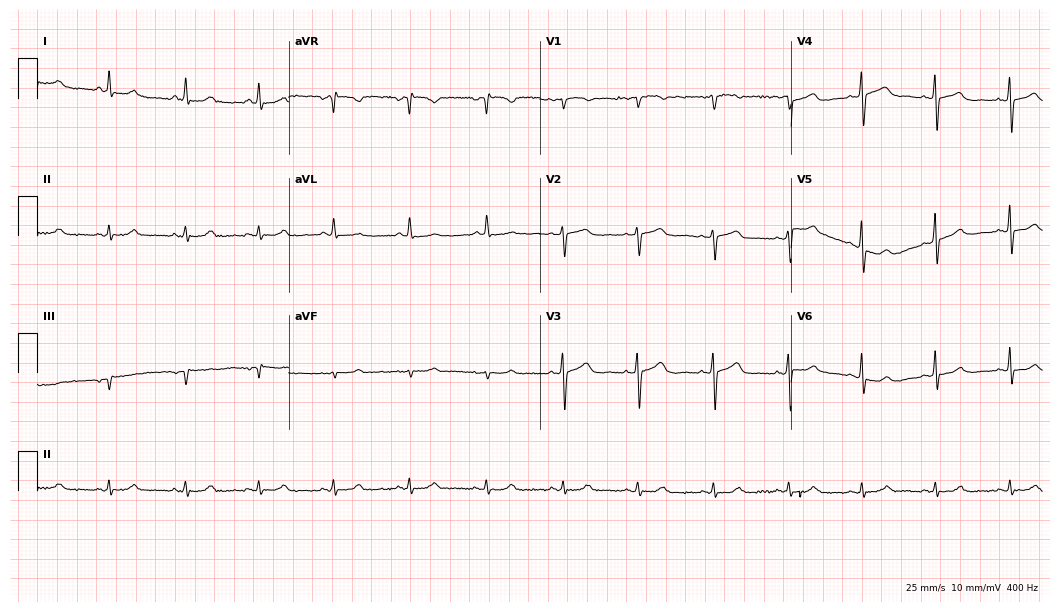
12-lead ECG from a woman, 73 years old. Recorded interpretation: within normal limits.